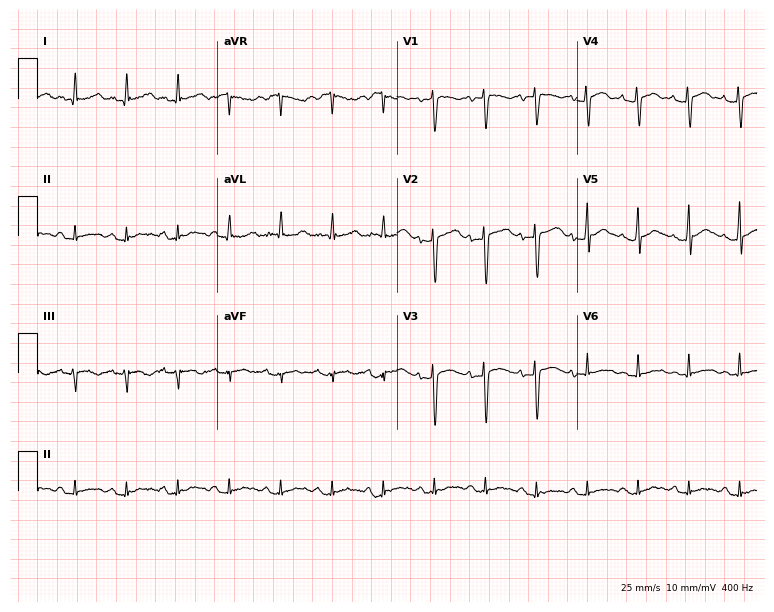
Resting 12-lead electrocardiogram (7.3-second recording at 400 Hz). Patient: a 37-year-old woman. The tracing shows sinus tachycardia (a sinus rate of 100 beats per minute or more).